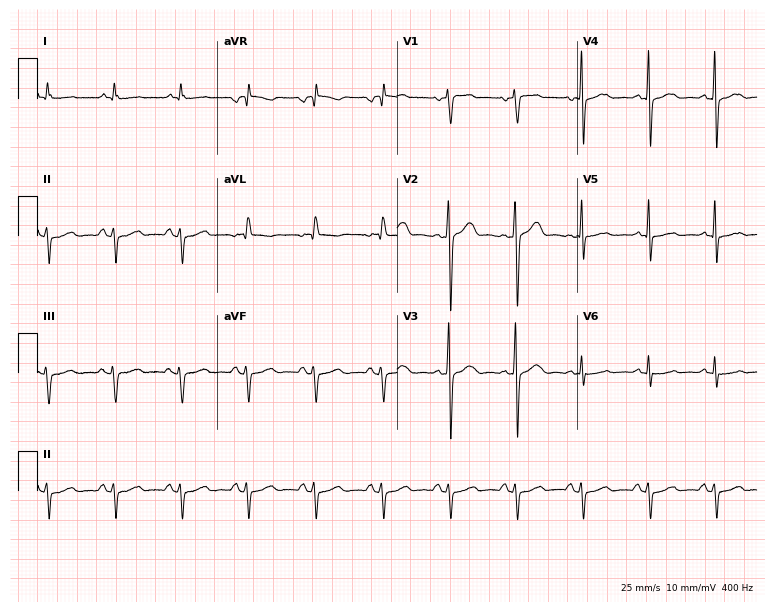
12-lead ECG from a man, 76 years old. No first-degree AV block, right bundle branch block, left bundle branch block, sinus bradycardia, atrial fibrillation or sinus tachycardia recorded for this tracing. Findings outside these six are not listed.